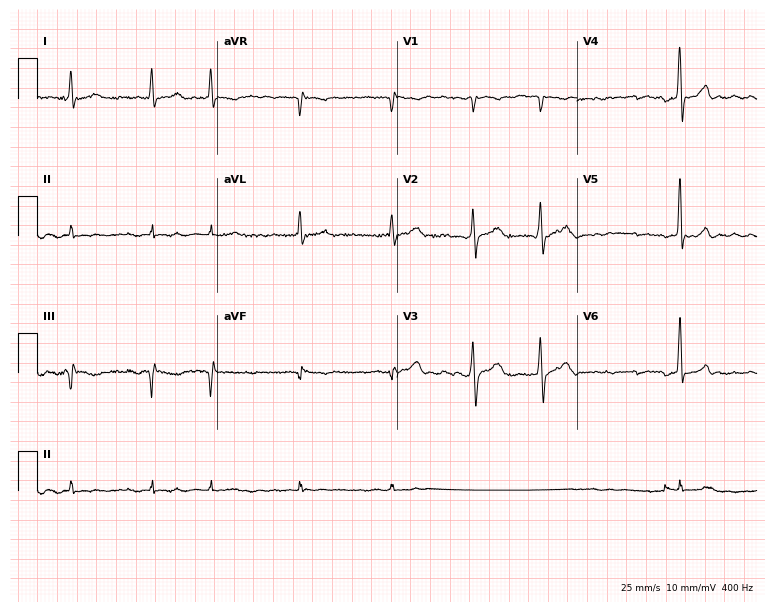
12-lead ECG from a male, 51 years old. Findings include atrial fibrillation.